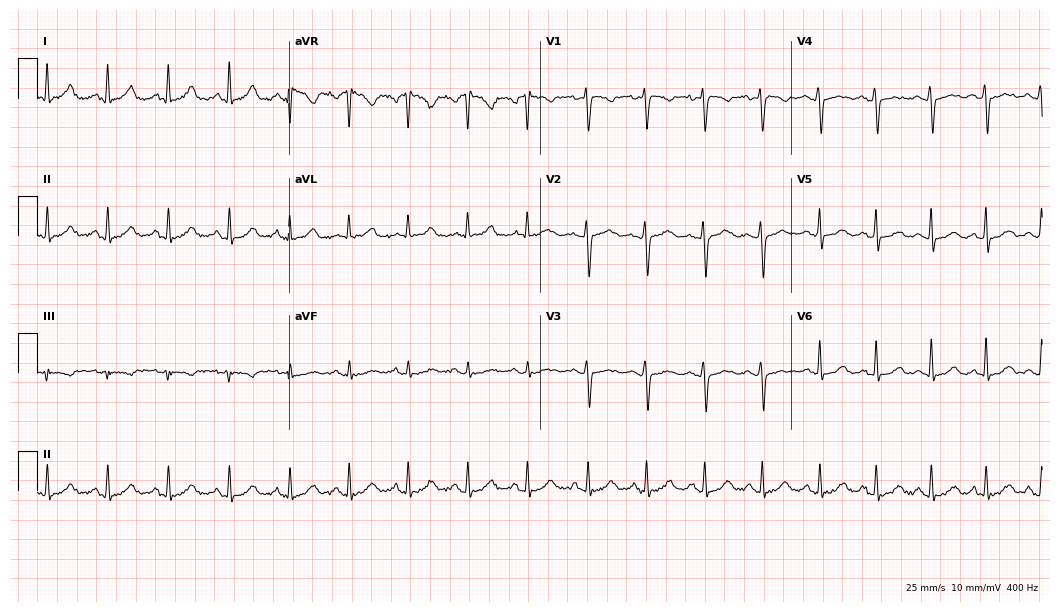
ECG (10.2-second recording at 400 Hz) — a female patient, 39 years old. Labelled as a normal ECG.